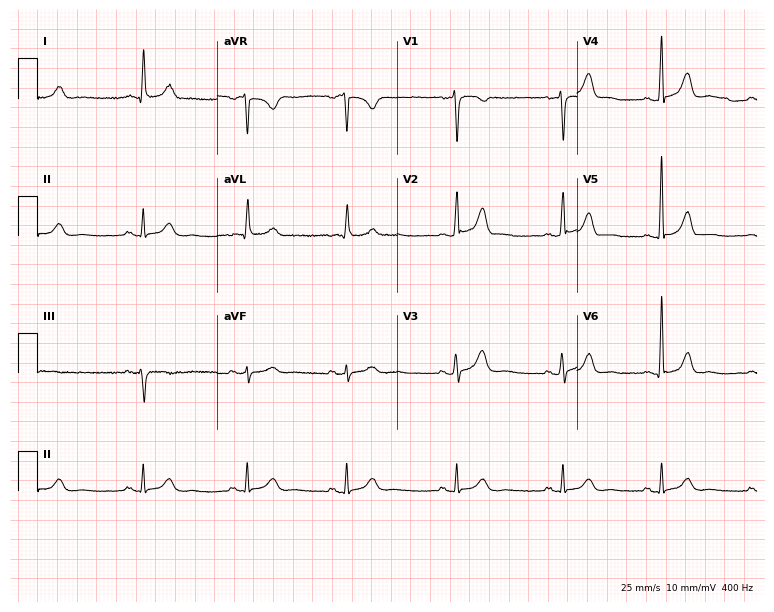
Electrocardiogram (7.3-second recording at 400 Hz), a 44-year-old woman. Overall reading on record: normal ECG.